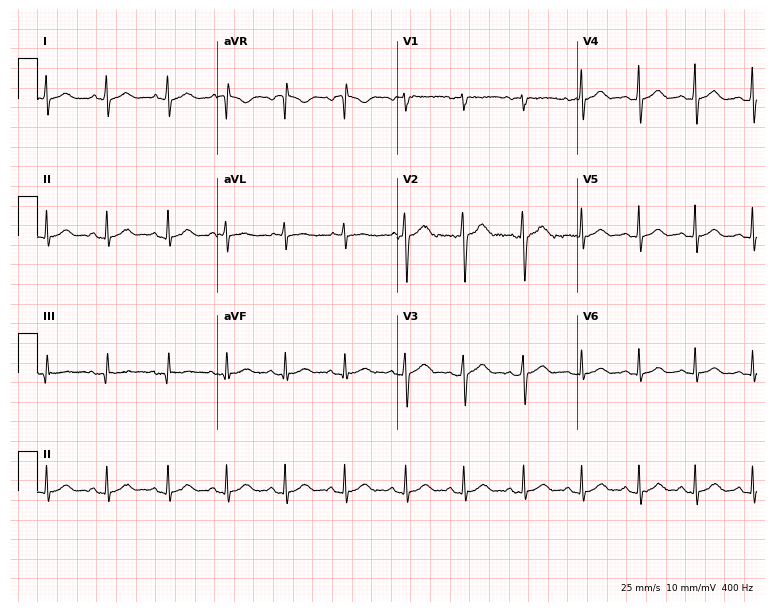
Standard 12-lead ECG recorded from a man, 31 years old. Read as a normal ECG.